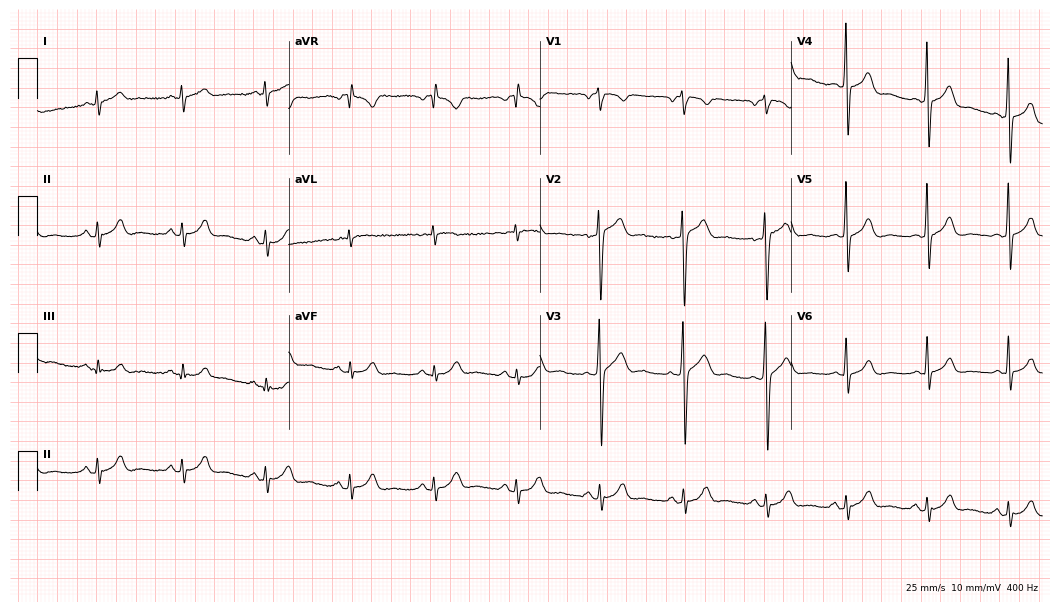
Standard 12-lead ECG recorded from a man, 43 years old (10.2-second recording at 400 Hz). None of these six findings is recorded: first-degree AV block, right bundle branch block, left bundle branch block, sinus bradycardia, atrial fibrillation, sinus tachycardia. Only these six findings were labelled.